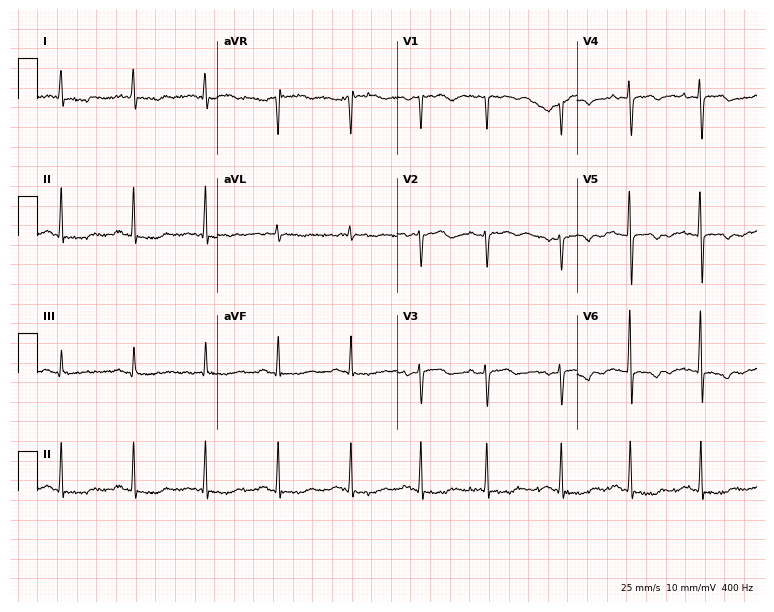
Standard 12-lead ECG recorded from a 68-year-old woman. None of these six findings is recorded: first-degree AV block, right bundle branch block (RBBB), left bundle branch block (LBBB), sinus bradycardia, atrial fibrillation (AF), sinus tachycardia. Only these six findings were labelled.